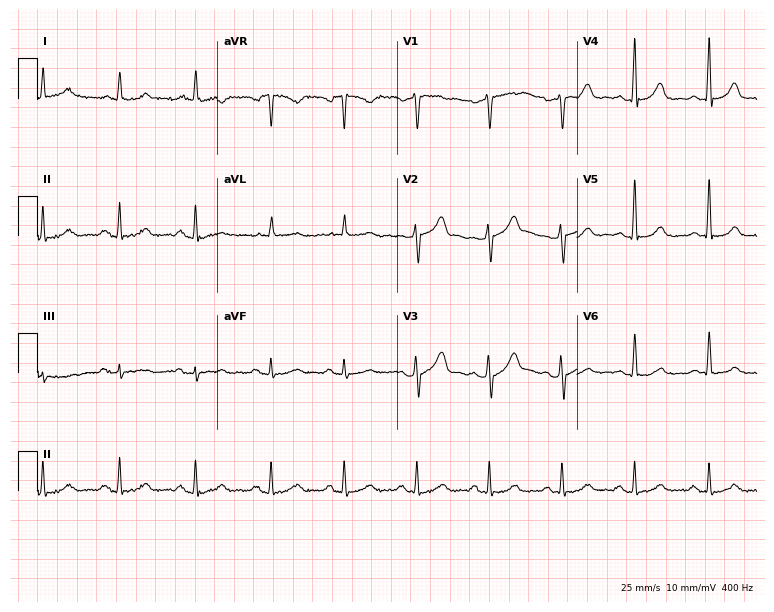
12-lead ECG from a 55-year-old male patient. Labelled as a normal ECG.